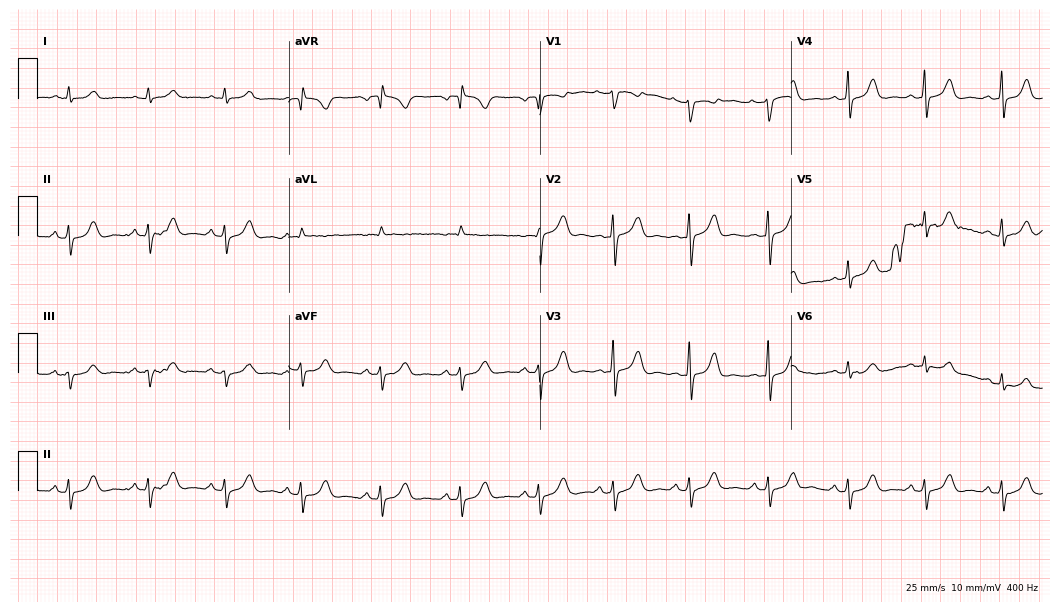
Electrocardiogram, a female, 29 years old. Of the six screened findings (first-degree AV block, right bundle branch block, left bundle branch block, sinus bradycardia, atrial fibrillation, sinus tachycardia), none is recorded.